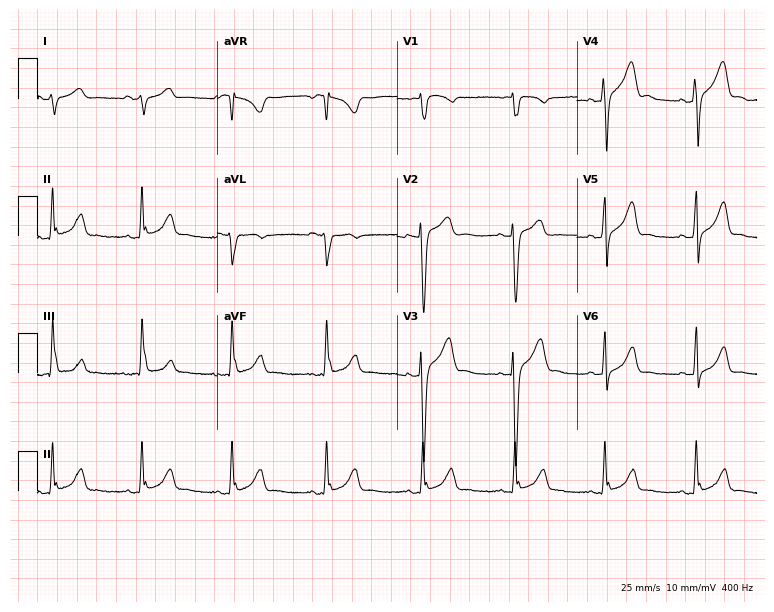
12-lead ECG from a male patient, 23 years old (7.3-second recording at 400 Hz). No first-degree AV block, right bundle branch block, left bundle branch block, sinus bradycardia, atrial fibrillation or sinus tachycardia recorded for this tracing.